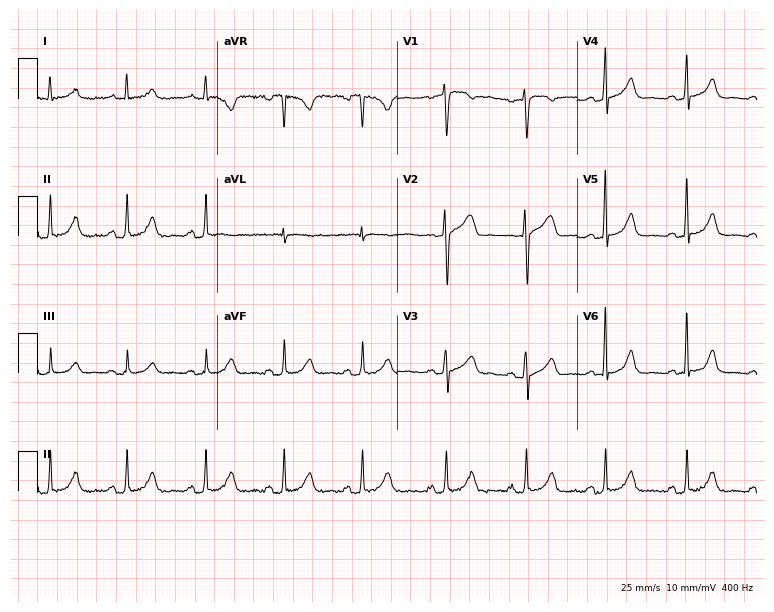
12-lead ECG from a woman, 42 years old (7.3-second recording at 400 Hz). No first-degree AV block, right bundle branch block, left bundle branch block, sinus bradycardia, atrial fibrillation or sinus tachycardia recorded for this tracing. Other findings, if any, are not listed.